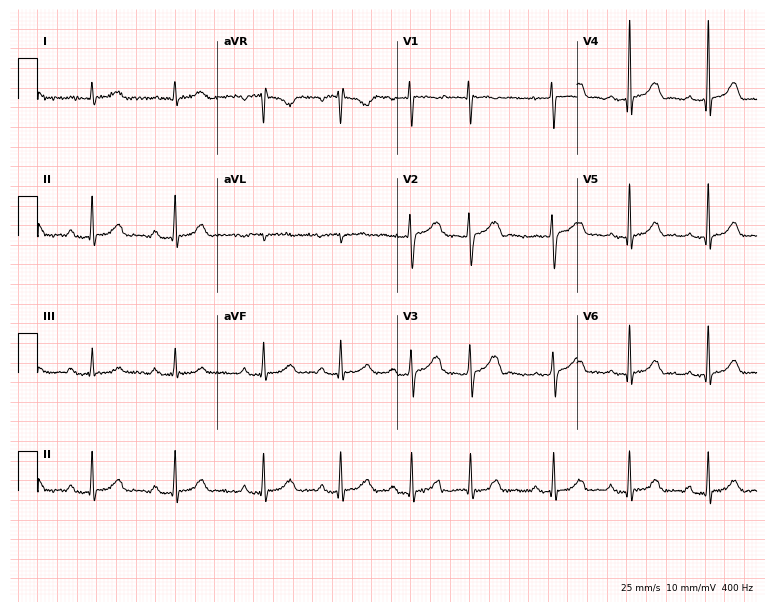
12-lead ECG from a 32-year-old female. Shows first-degree AV block.